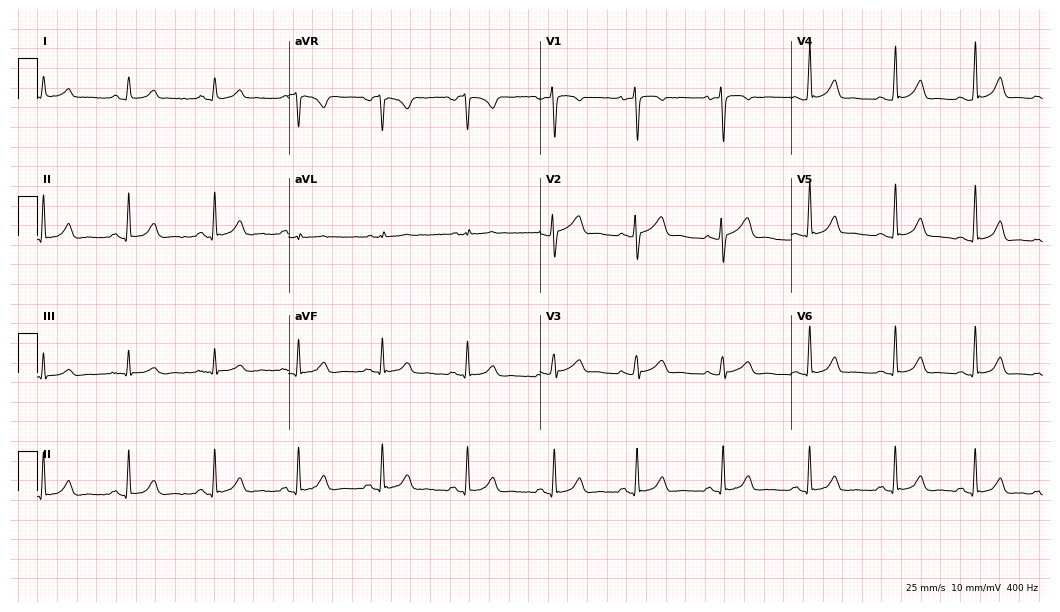
ECG (10.2-second recording at 400 Hz) — a woman, 26 years old. Labelled as a normal ECG.